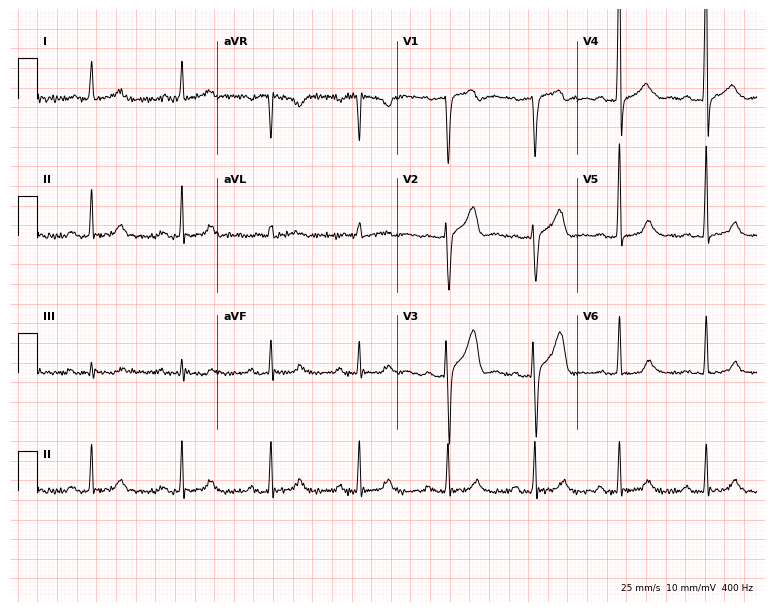
12-lead ECG from a 71-year-old male patient. No first-degree AV block, right bundle branch block (RBBB), left bundle branch block (LBBB), sinus bradycardia, atrial fibrillation (AF) or sinus tachycardia recorded for this tracing.